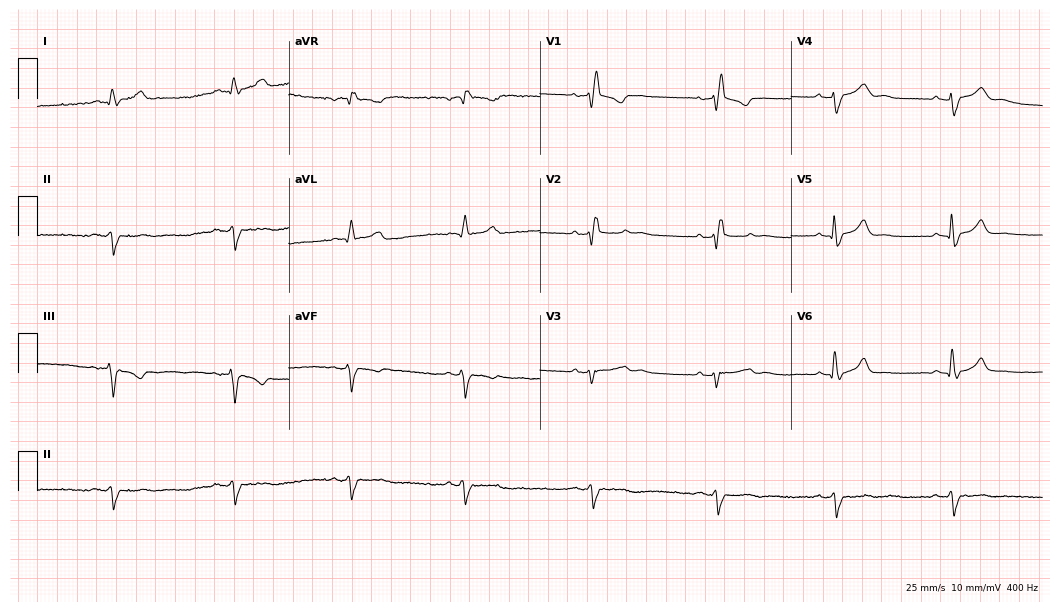
Resting 12-lead electrocardiogram (10.2-second recording at 400 Hz). Patient: a 75-year-old male. None of these six findings is recorded: first-degree AV block, right bundle branch block, left bundle branch block, sinus bradycardia, atrial fibrillation, sinus tachycardia.